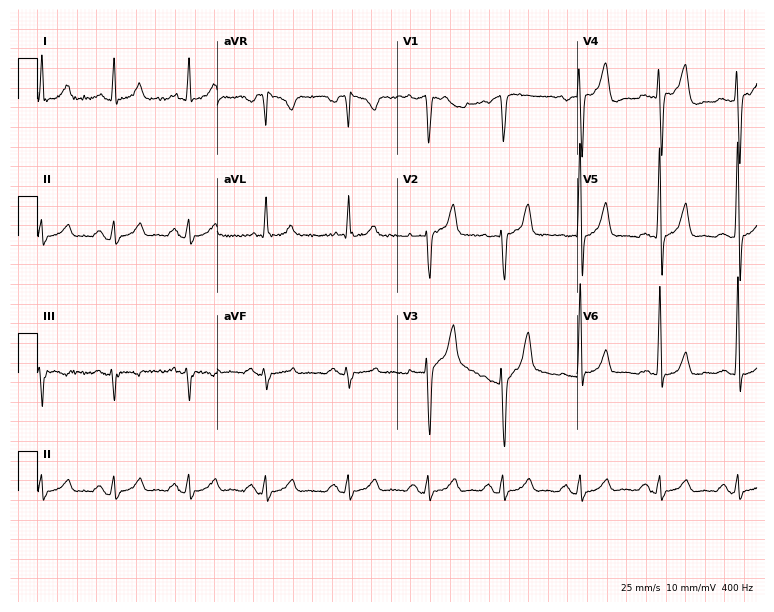
12-lead ECG from a 54-year-old male patient. Screened for six findings — first-degree AV block, right bundle branch block, left bundle branch block, sinus bradycardia, atrial fibrillation, sinus tachycardia — none is recorded. Only these six findings were labelled.